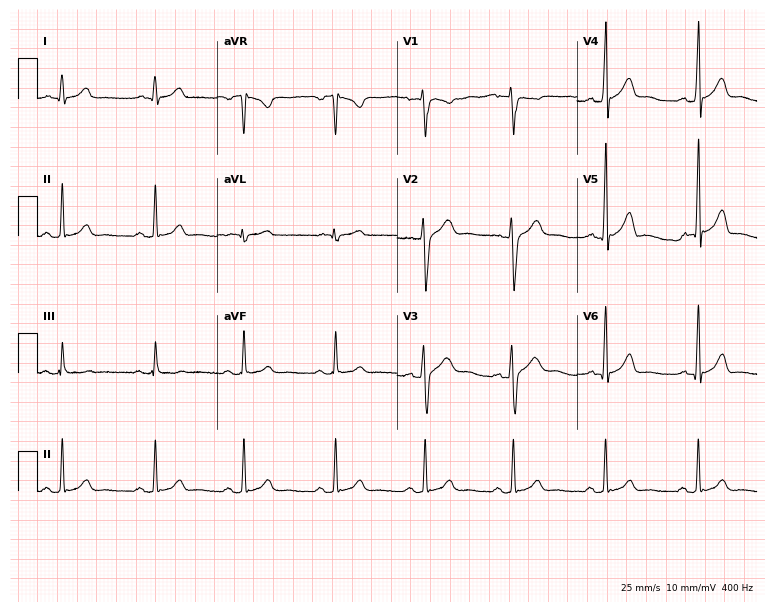
Electrocardiogram (7.3-second recording at 400 Hz), a male patient, 22 years old. Of the six screened findings (first-degree AV block, right bundle branch block, left bundle branch block, sinus bradycardia, atrial fibrillation, sinus tachycardia), none is recorded. Findings outside these six are not listed.